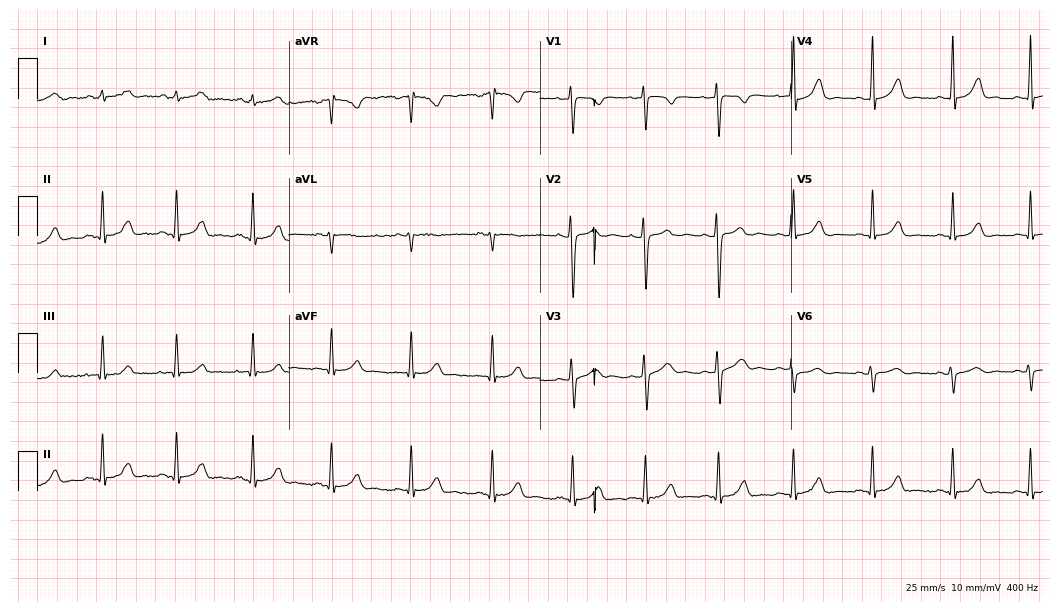
12-lead ECG from a 19-year-old woman. Recorded interpretation: within normal limits.